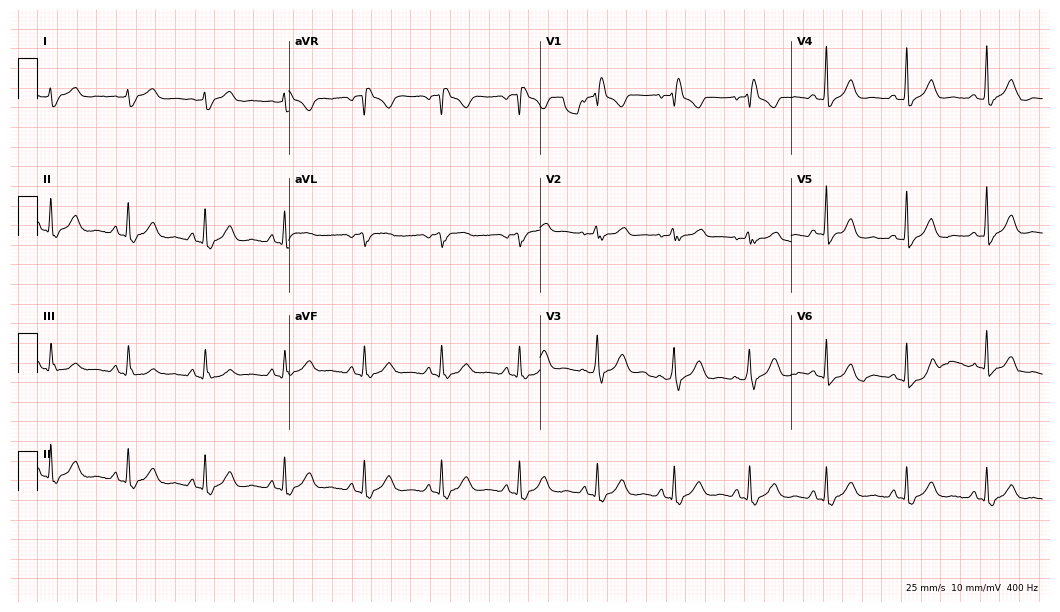
ECG — a woman, 41 years old. Findings include right bundle branch block.